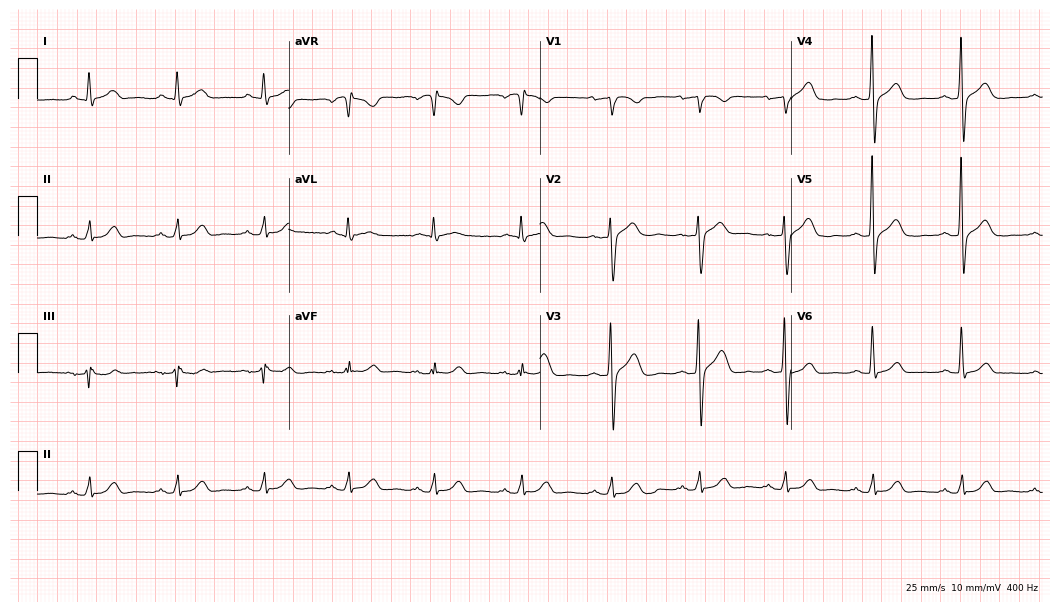
ECG (10.2-second recording at 400 Hz) — a 49-year-old man. Labelled as a normal ECG.